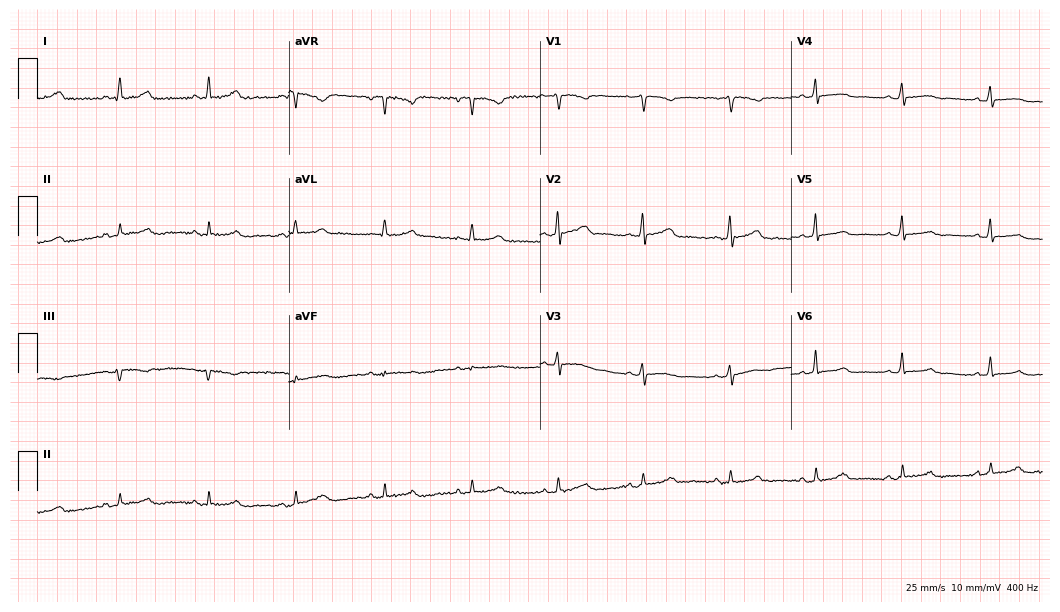
12-lead ECG from a woman, 55 years old. Labelled as a normal ECG.